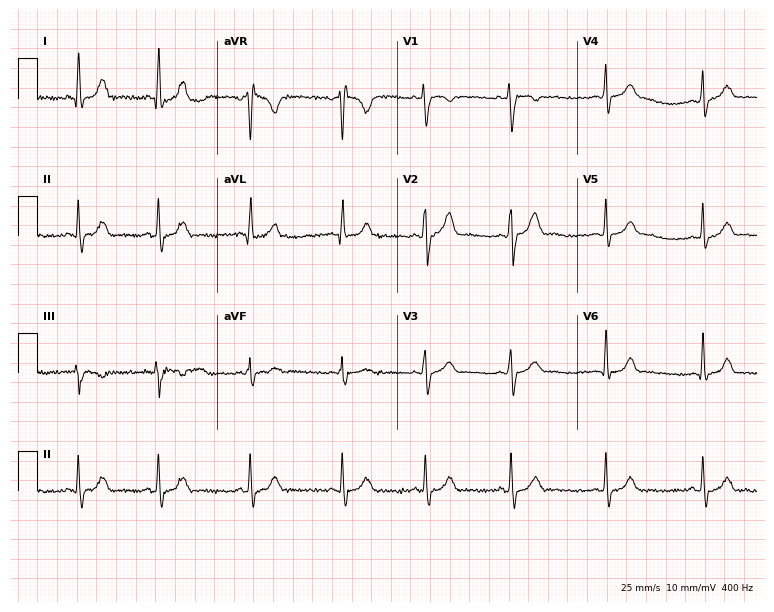
ECG — a 20-year-old woman. Screened for six findings — first-degree AV block, right bundle branch block, left bundle branch block, sinus bradycardia, atrial fibrillation, sinus tachycardia — none is recorded.